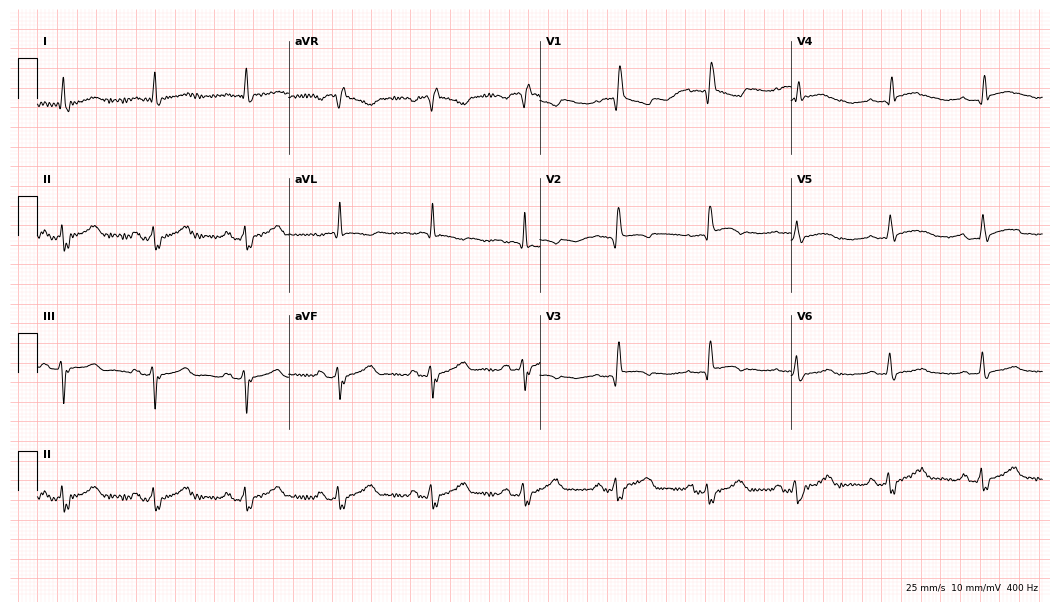
Standard 12-lead ECG recorded from an 83-year-old female patient (10.2-second recording at 400 Hz). None of these six findings is recorded: first-degree AV block, right bundle branch block (RBBB), left bundle branch block (LBBB), sinus bradycardia, atrial fibrillation (AF), sinus tachycardia. Other findings, if any, are not listed.